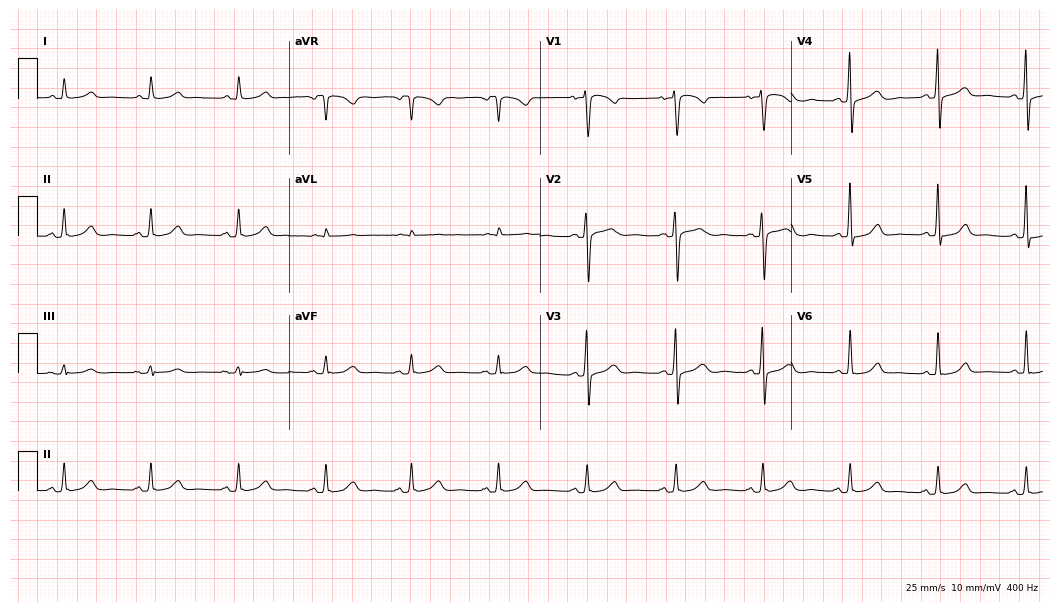
12-lead ECG from a 67-year-old woman (10.2-second recording at 400 Hz). Recorded interpretation: within normal limits.